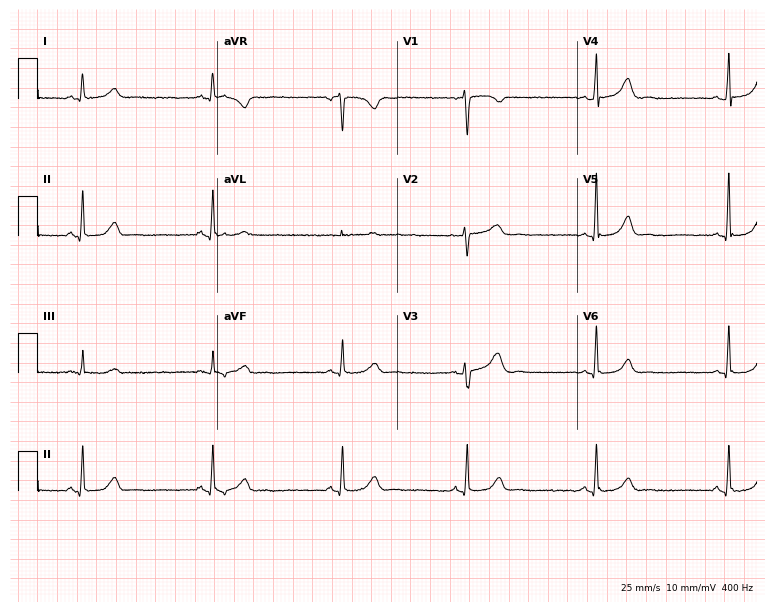
Standard 12-lead ECG recorded from a 52-year-old woman. The tracing shows sinus bradycardia (a sinus rate of 50 beats per minute or less).